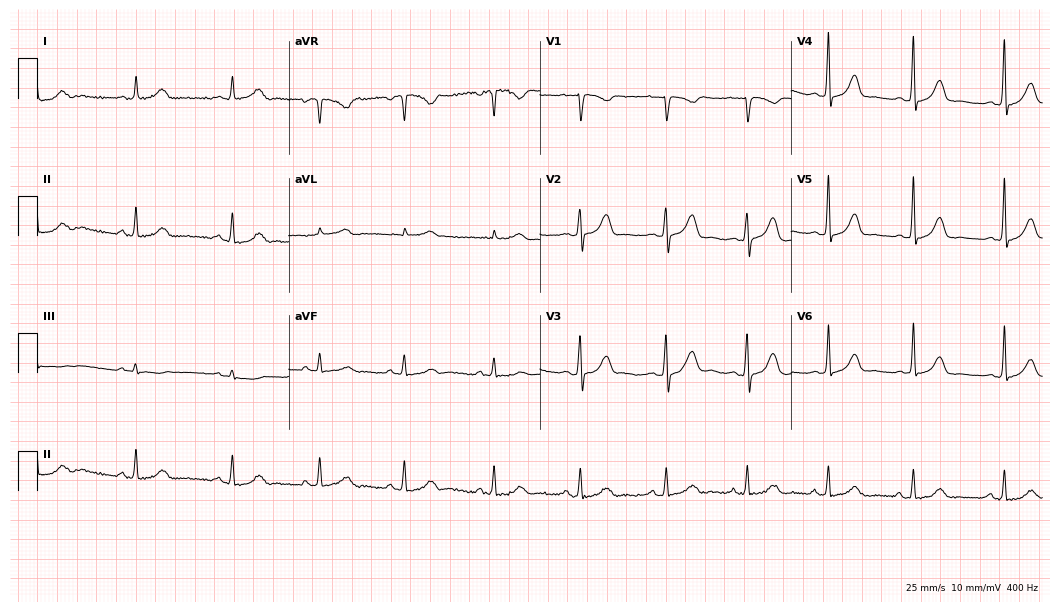
Resting 12-lead electrocardiogram. Patient: a female, 35 years old. None of these six findings is recorded: first-degree AV block, right bundle branch block, left bundle branch block, sinus bradycardia, atrial fibrillation, sinus tachycardia. Only these six findings were labelled.